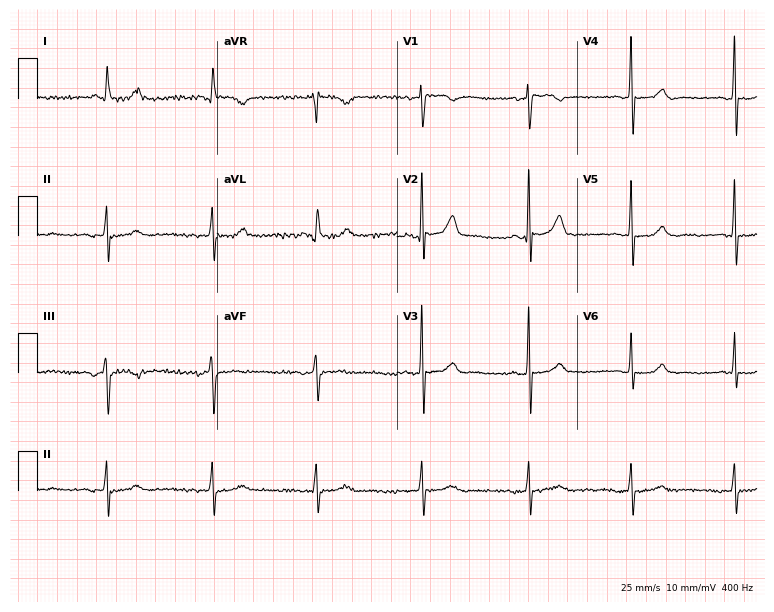
12-lead ECG from a 75-year-old male. Screened for six findings — first-degree AV block, right bundle branch block (RBBB), left bundle branch block (LBBB), sinus bradycardia, atrial fibrillation (AF), sinus tachycardia — none is recorded.